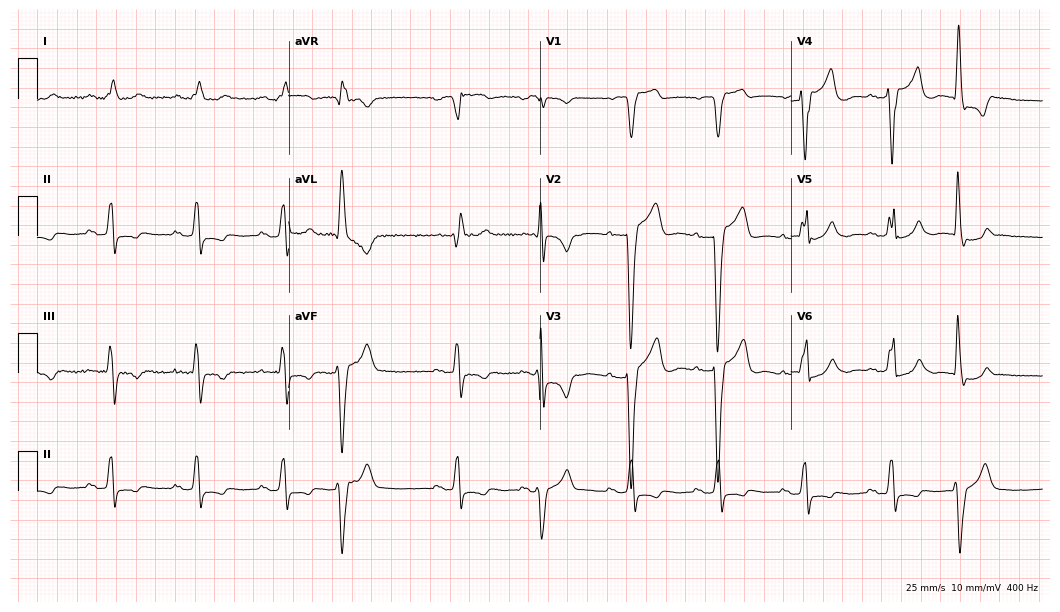
12-lead ECG from a 73-year-old female patient. Shows left bundle branch block.